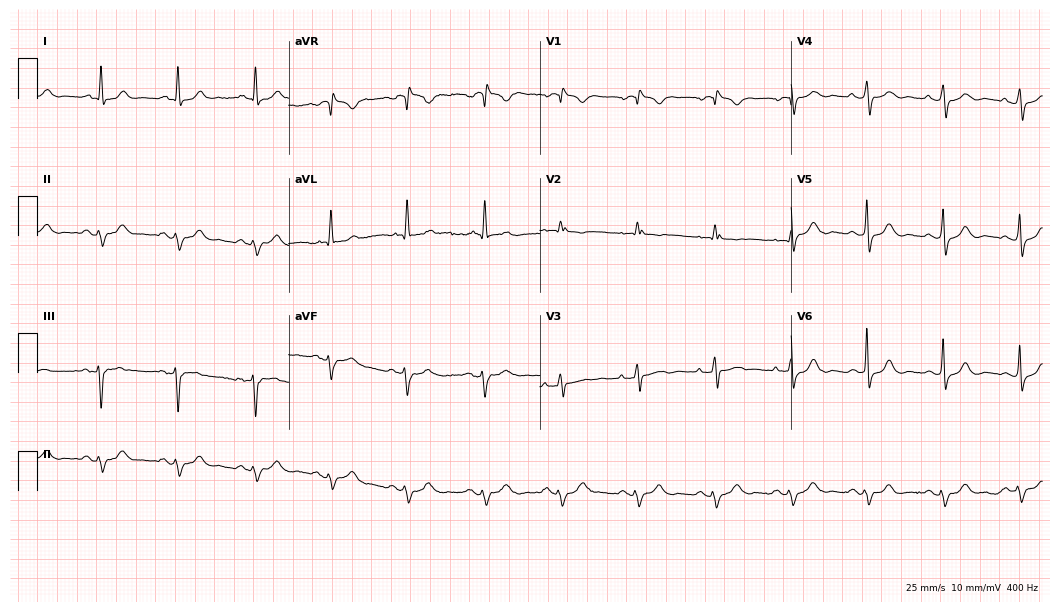
12-lead ECG from an 83-year-old female (10.2-second recording at 400 Hz). No first-degree AV block, right bundle branch block, left bundle branch block, sinus bradycardia, atrial fibrillation or sinus tachycardia recorded for this tracing. Other findings, if any, are not listed.